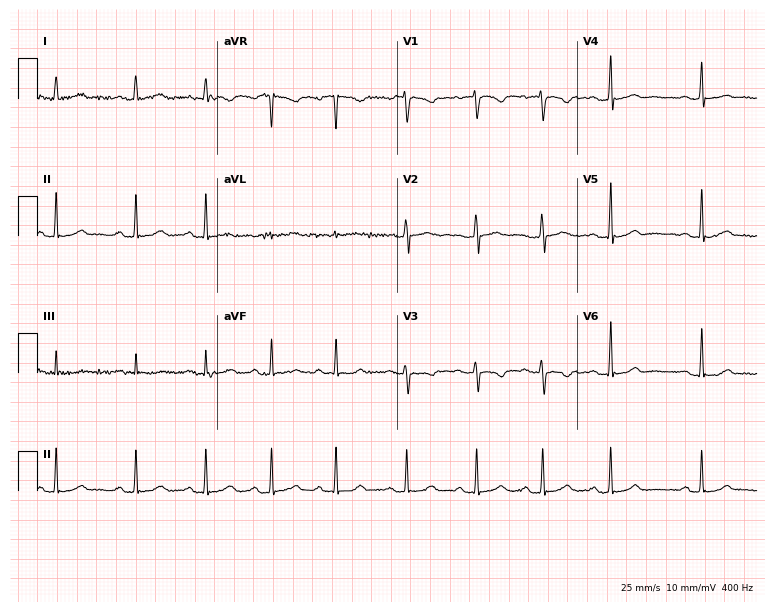
Resting 12-lead electrocardiogram (7.3-second recording at 400 Hz). Patient: a female, 21 years old. Read as a normal ECG.